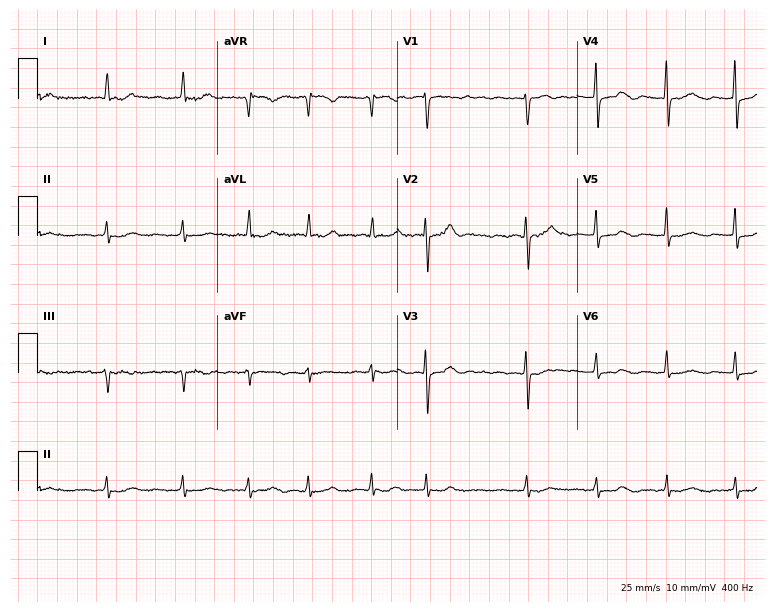
12-lead ECG from a female patient, 79 years old (7.3-second recording at 400 Hz). Shows atrial fibrillation (AF).